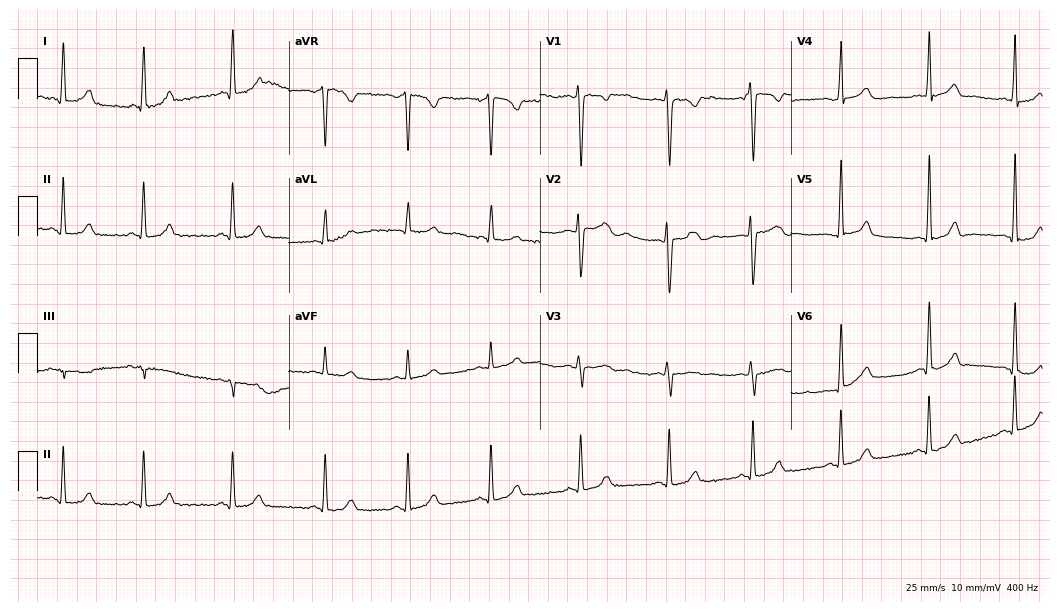
ECG — a male patient, 28 years old. Screened for six findings — first-degree AV block, right bundle branch block, left bundle branch block, sinus bradycardia, atrial fibrillation, sinus tachycardia — none is recorded. Only these six findings were labelled.